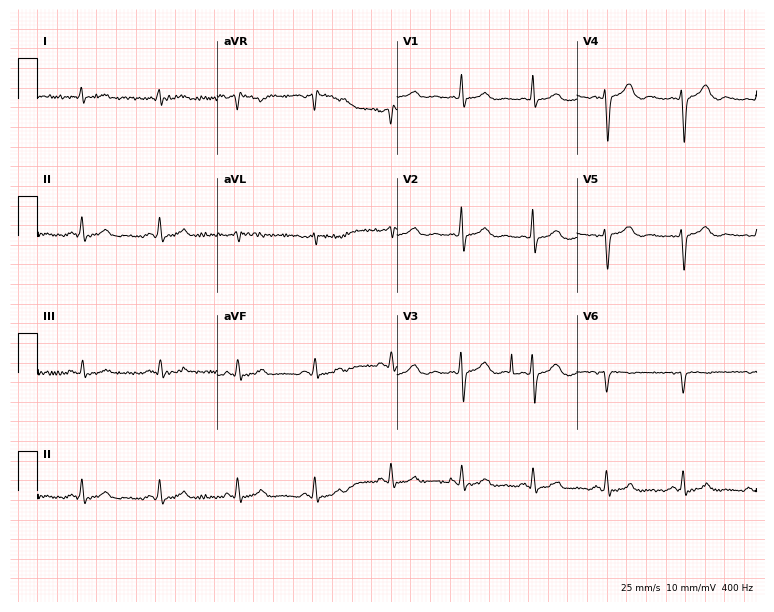
12-lead ECG from a female patient, 36 years old. No first-degree AV block, right bundle branch block (RBBB), left bundle branch block (LBBB), sinus bradycardia, atrial fibrillation (AF) or sinus tachycardia recorded for this tracing. Only these six findings were labelled.